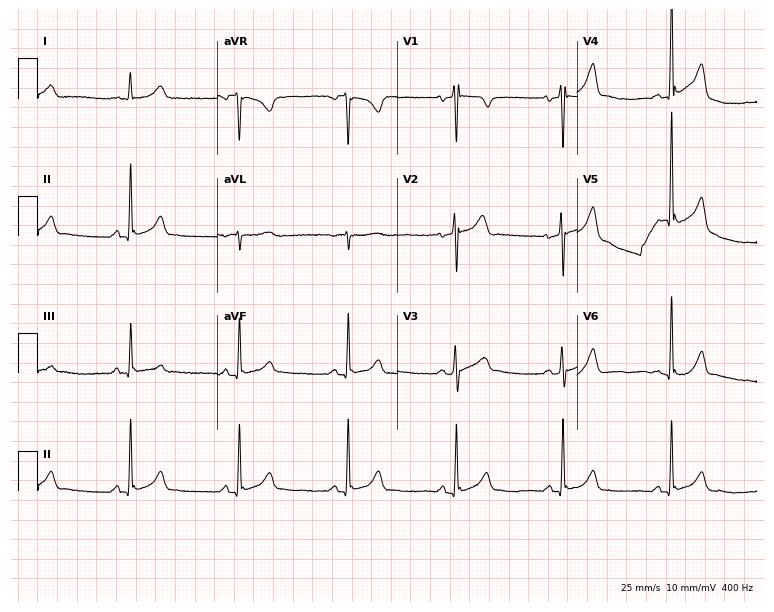
ECG (7.3-second recording at 400 Hz) — a 34-year-old male patient. Labelled as a normal ECG.